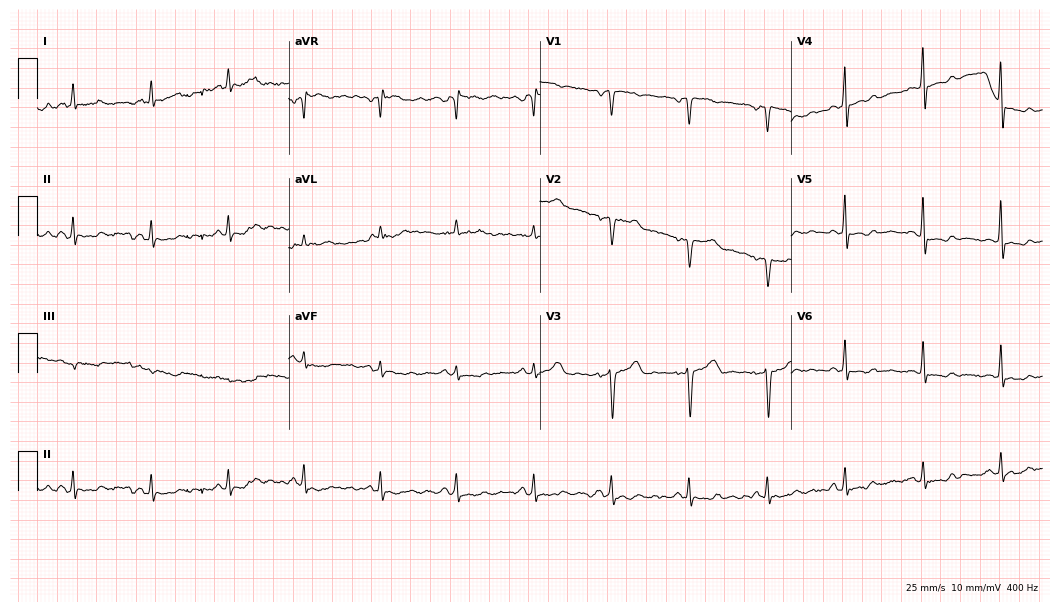
12-lead ECG from a 47-year-old man (10.2-second recording at 400 Hz). No first-degree AV block, right bundle branch block, left bundle branch block, sinus bradycardia, atrial fibrillation or sinus tachycardia recorded for this tracing.